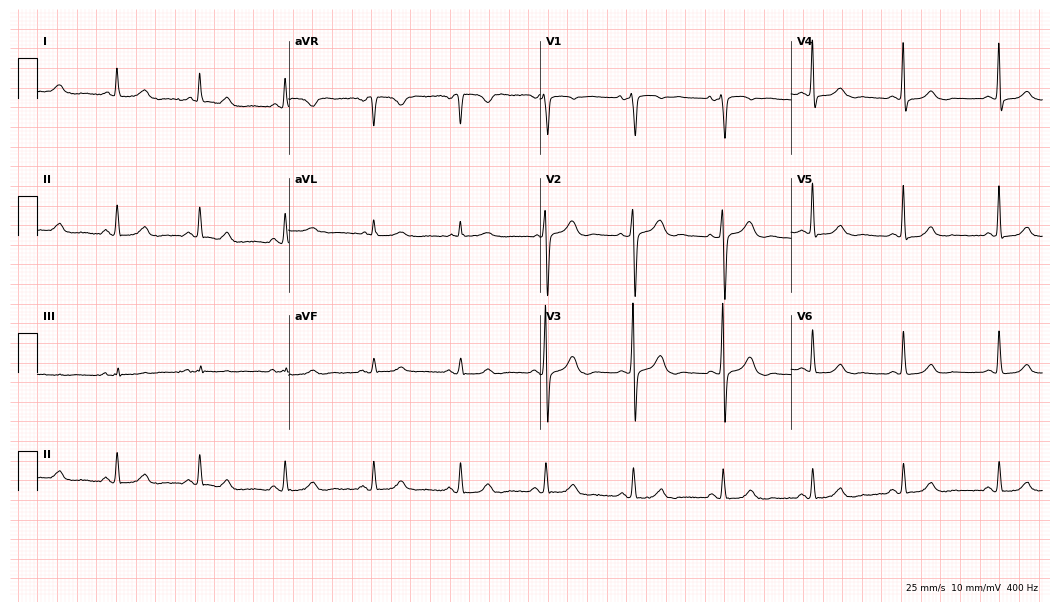
Standard 12-lead ECG recorded from an 80-year-old female (10.2-second recording at 400 Hz). Read as a normal ECG.